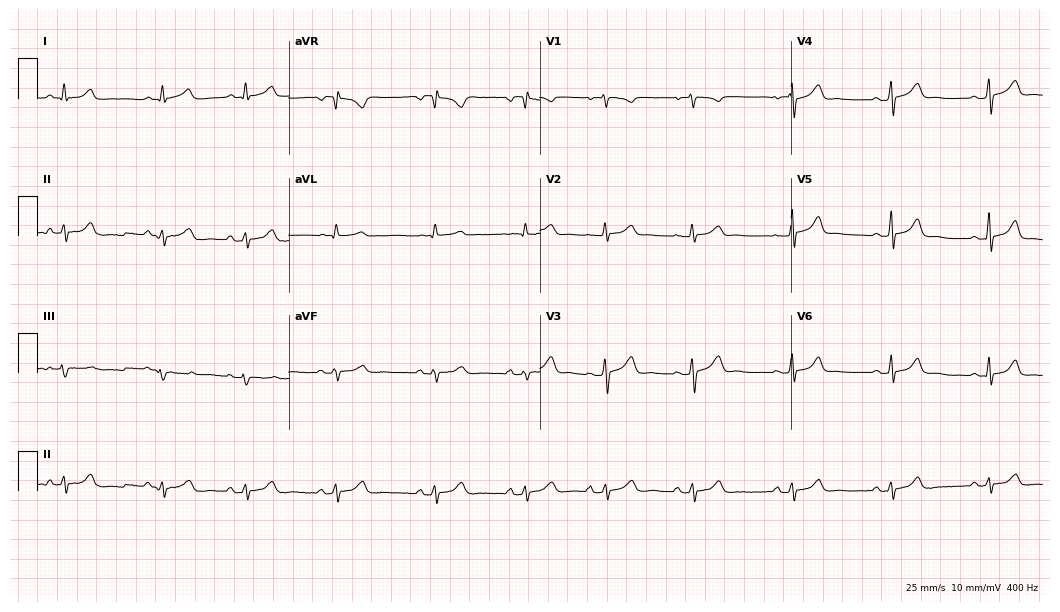
12-lead ECG from a female patient, 24 years old. No first-degree AV block, right bundle branch block, left bundle branch block, sinus bradycardia, atrial fibrillation or sinus tachycardia recorded for this tracing.